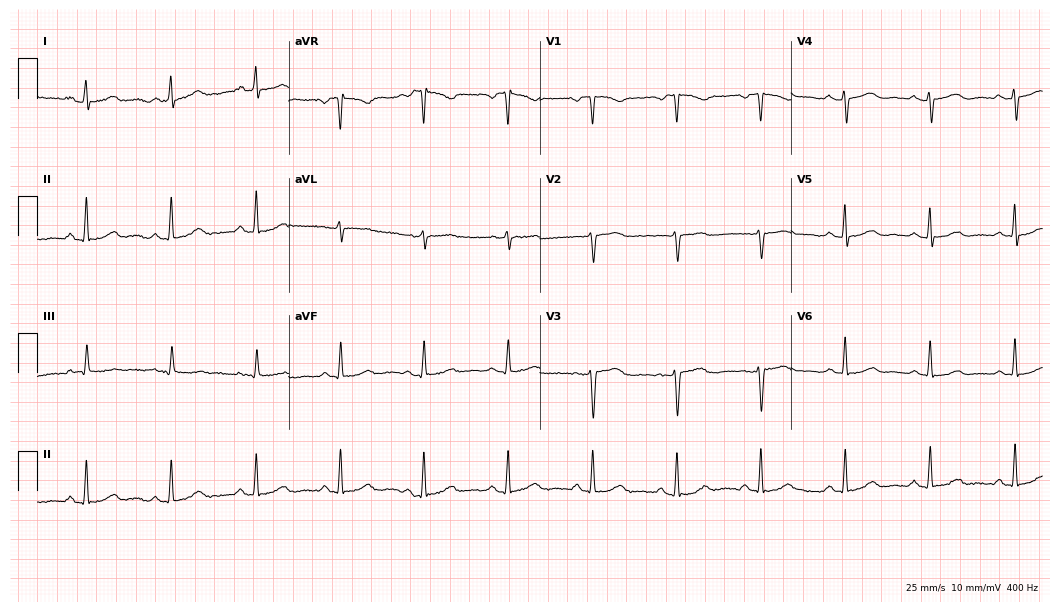
Resting 12-lead electrocardiogram. Patient: a woman, 69 years old. None of these six findings is recorded: first-degree AV block, right bundle branch block, left bundle branch block, sinus bradycardia, atrial fibrillation, sinus tachycardia.